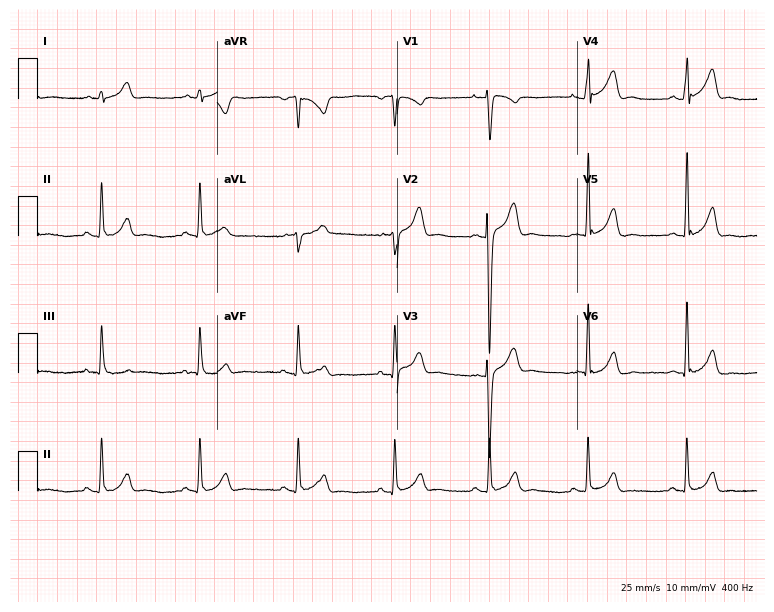
Electrocardiogram, a man, 25 years old. Of the six screened findings (first-degree AV block, right bundle branch block, left bundle branch block, sinus bradycardia, atrial fibrillation, sinus tachycardia), none is recorded. Only these six findings were labelled.